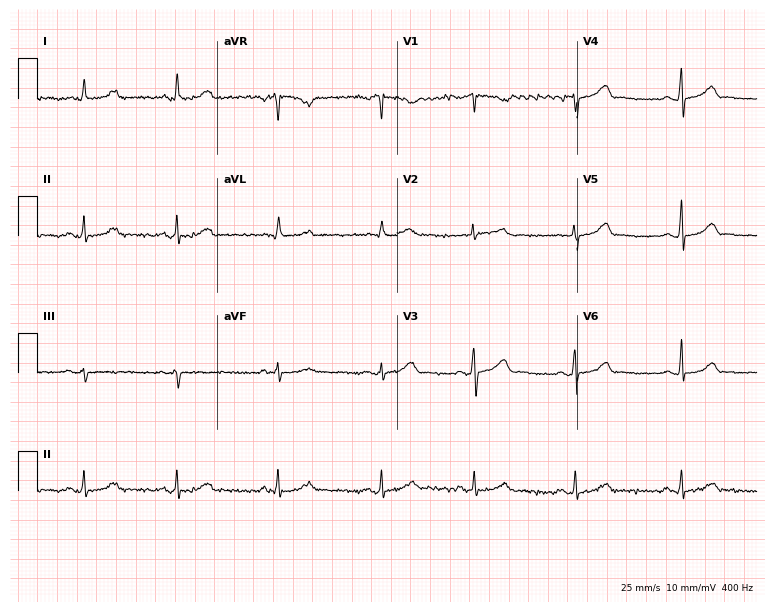
12-lead ECG from a 36-year-old female patient (7.3-second recording at 400 Hz). Recorded interpretation: within normal limits.